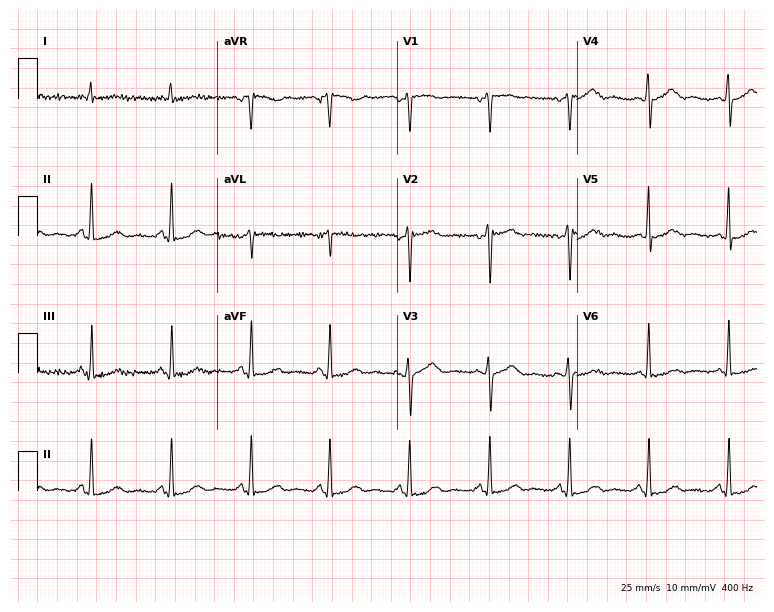
12-lead ECG (7.3-second recording at 400 Hz) from a 52-year-old female. Labelled as a normal ECG.